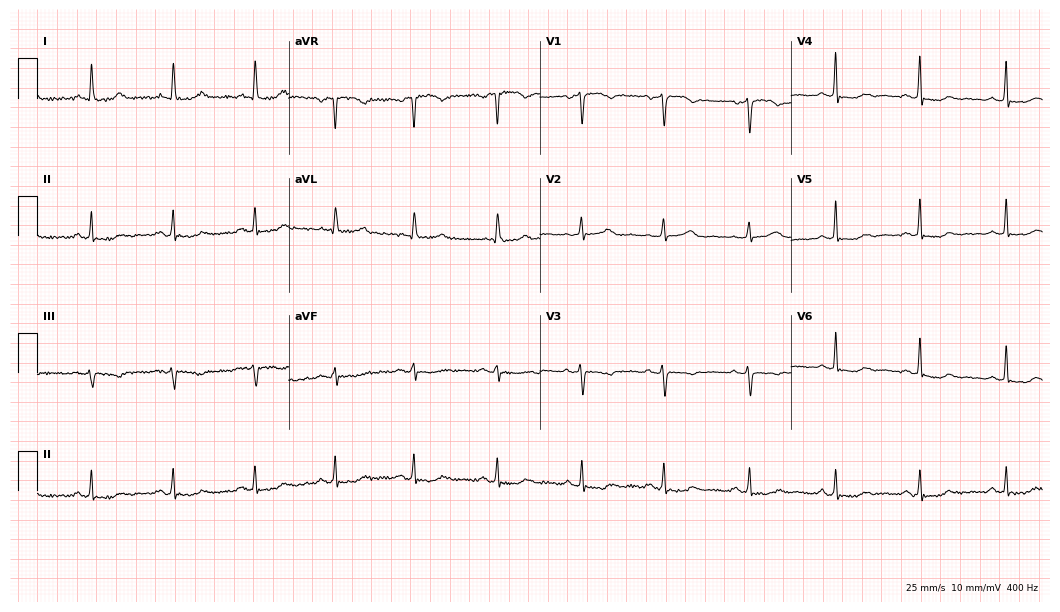
ECG — a 61-year-old woman. Screened for six findings — first-degree AV block, right bundle branch block, left bundle branch block, sinus bradycardia, atrial fibrillation, sinus tachycardia — none is recorded. Only these six findings were labelled.